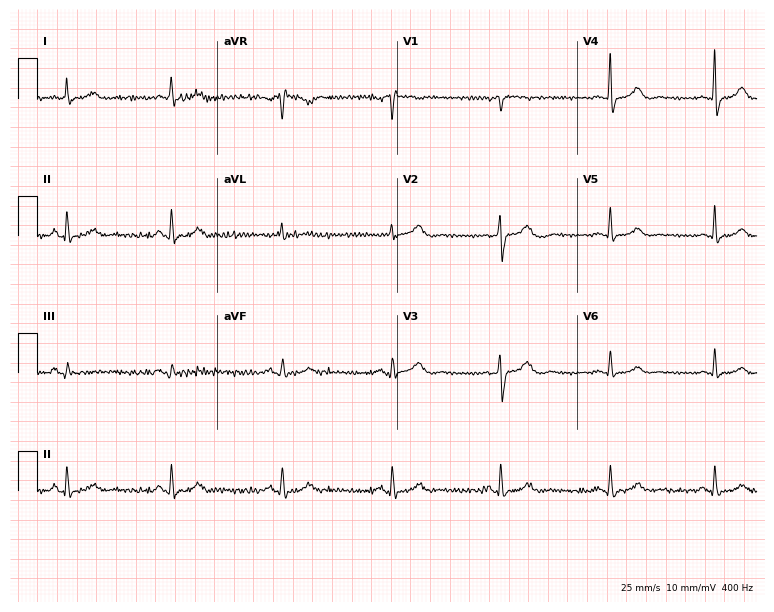
Resting 12-lead electrocardiogram (7.3-second recording at 400 Hz). Patient: a 63-year-old female. Read as a normal ECG.